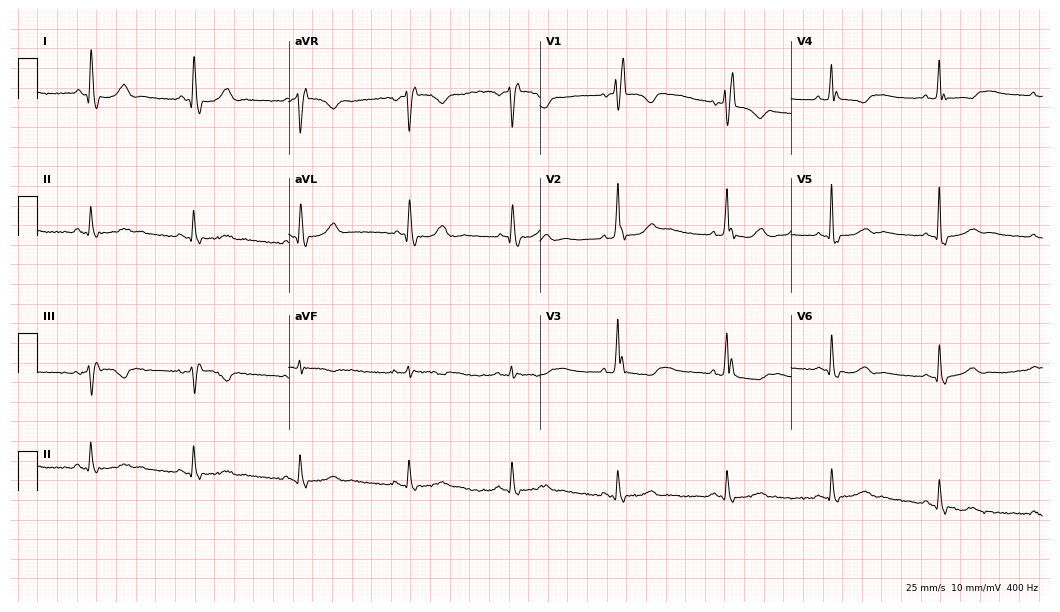
12-lead ECG from a female patient, 64 years old (10.2-second recording at 400 Hz). Shows right bundle branch block.